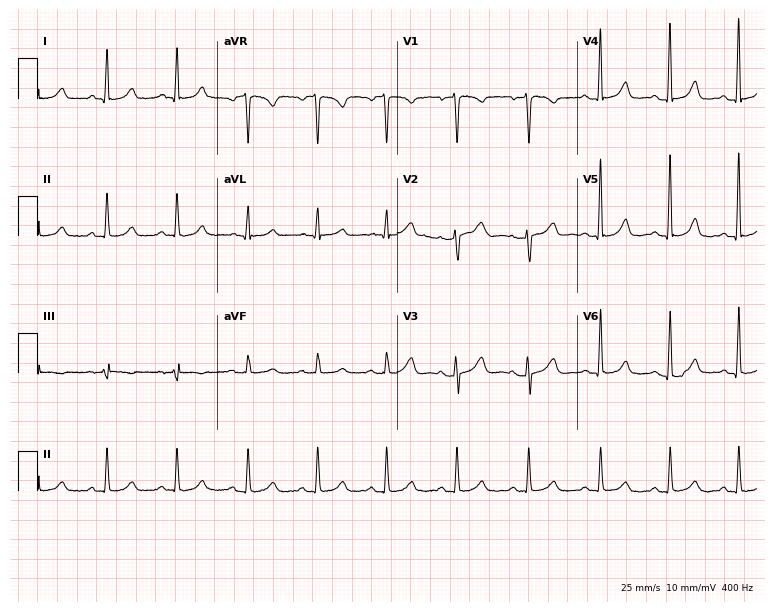
12-lead ECG (7.3-second recording at 400 Hz) from a female patient, 56 years old. Screened for six findings — first-degree AV block, right bundle branch block (RBBB), left bundle branch block (LBBB), sinus bradycardia, atrial fibrillation (AF), sinus tachycardia — none is recorded. Findings outside these six are not listed.